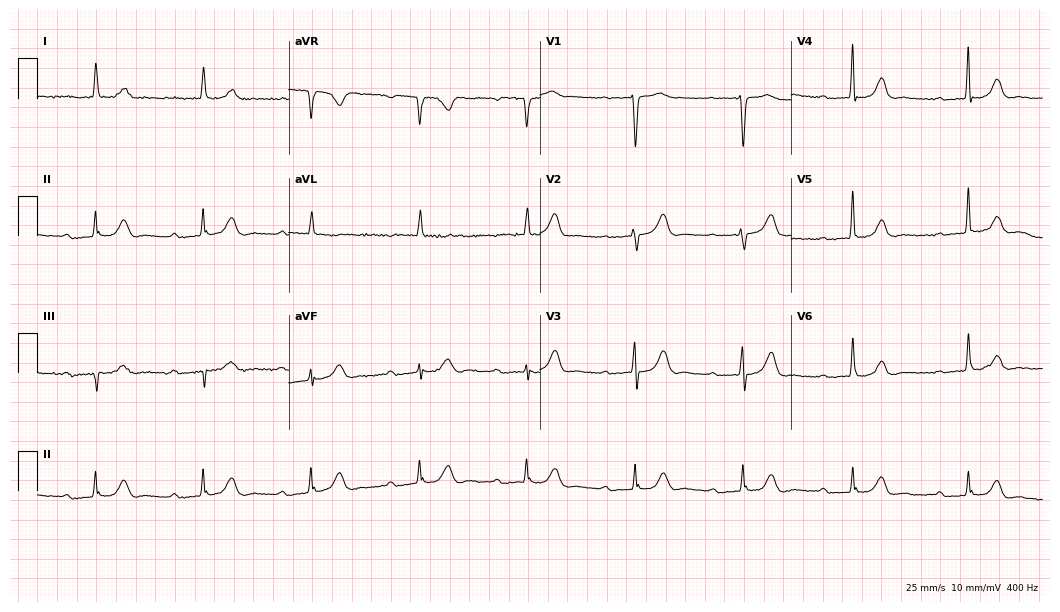
Resting 12-lead electrocardiogram. Patient: a 76-year-old woman. The tracing shows first-degree AV block.